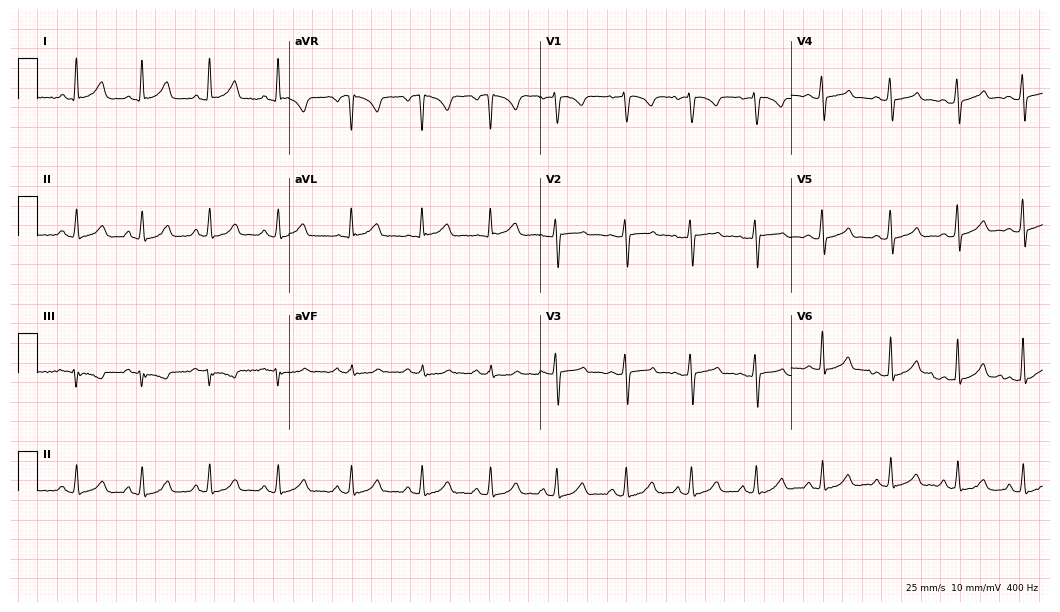
Electrocardiogram (10.2-second recording at 400 Hz), a 28-year-old woman. Overall reading on record: normal ECG.